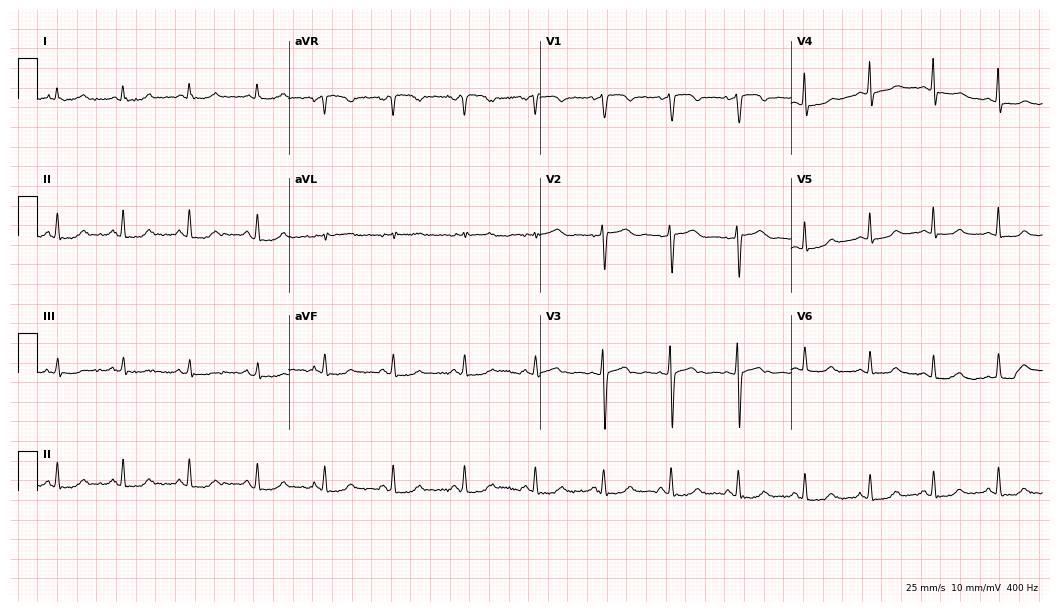
Electrocardiogram (10.2-second recording at 400 Hz), a 48-year-old female. Of the six screened findings (first-degree AV block, right bundle branch block (RBBB), left bundle branch block (LBBB), sinus bradycardia, atrial fibrillation (AF), sinus tachycardia), none is recorded. Only these six findings were labelled.